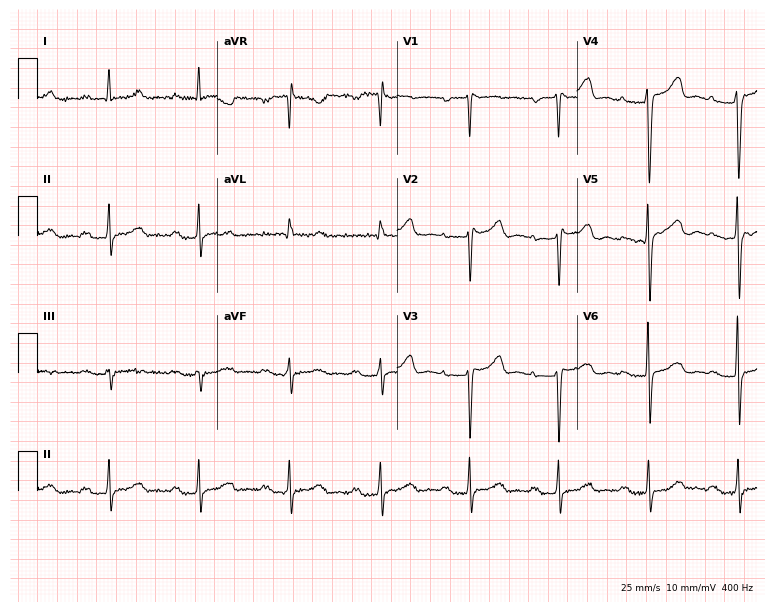
12-lead ECG from a female patient, 48 years old. Shows first-degree AV block.